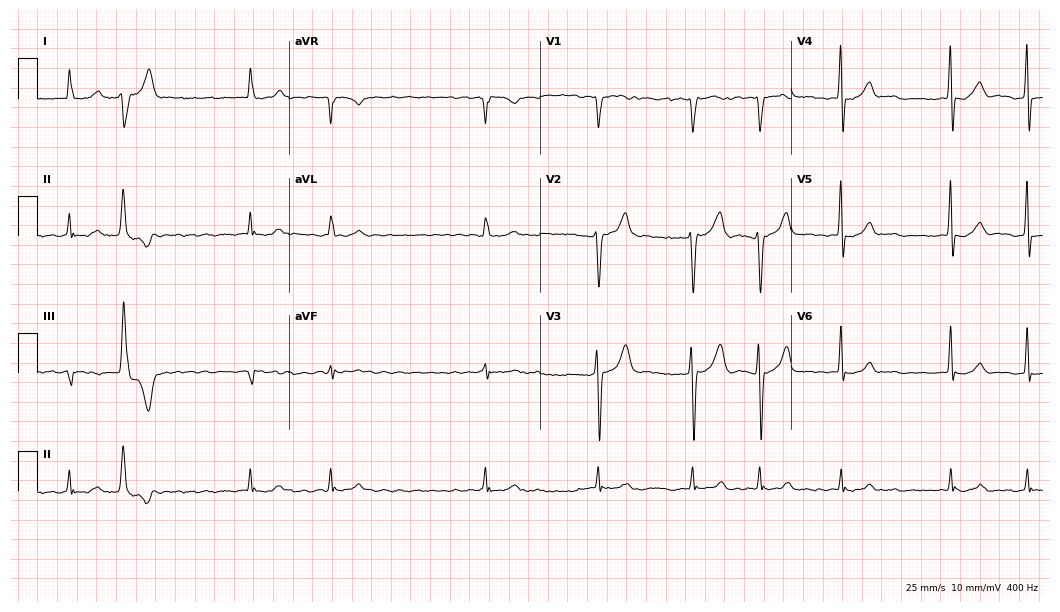
Standard 12-lead ECG recorded from a 75-year-old woman (10.2-second recording at 400 Hz). The tracing shows atrial fibrillation.